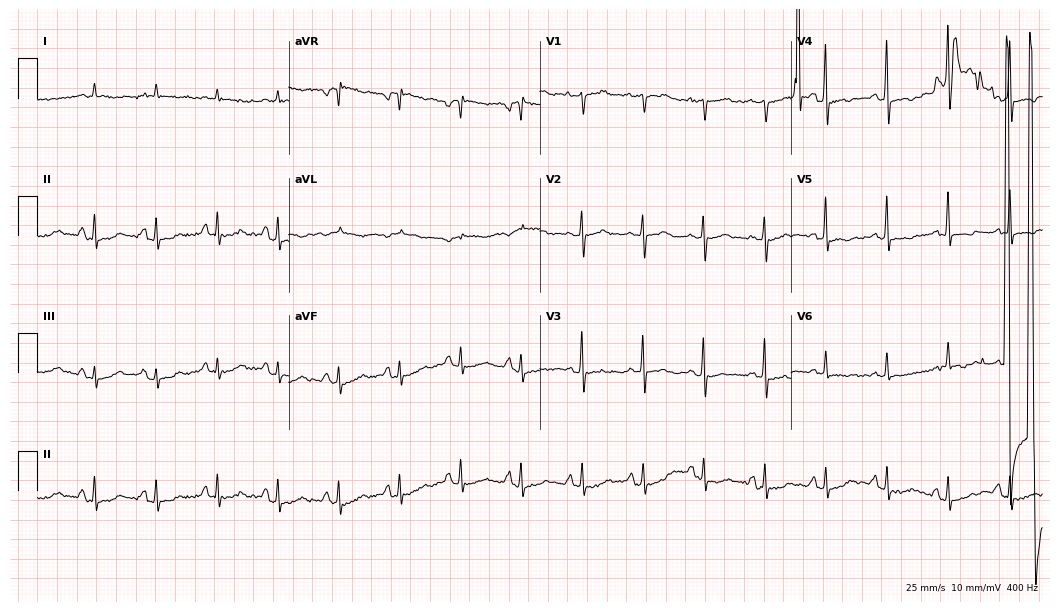
Electrocardiogram, an 83-year-old male. Of the six screened findings (first-degree AV block, right bundle branch block, left bundle branch block, sinus bradycardia, atrial fibrillation, sinus tachycardia), none is recorded.